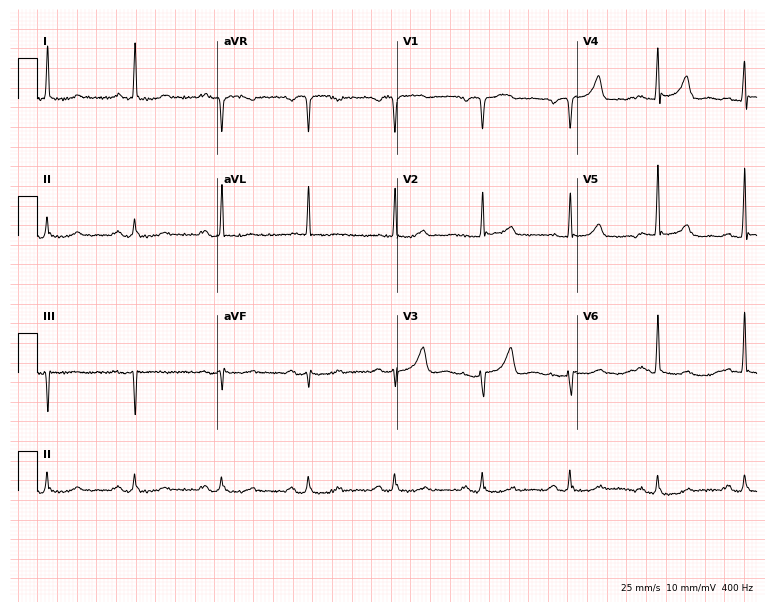
Electrocardiogram, a female patient, 68 years old. Overall reading on record: normal ECG.